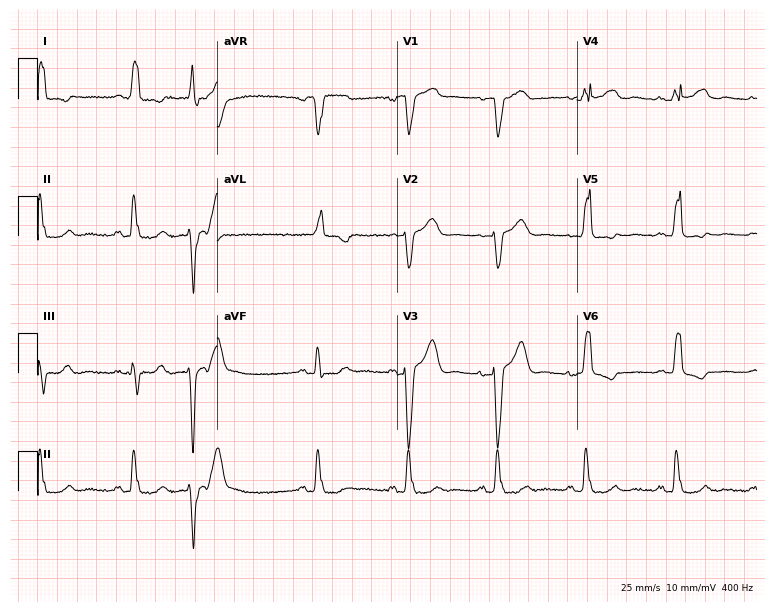
Resting 12-lead electrocardiogram. Patient: a 72-year-old female. None of these six findings is recorded: first-degree AV block, right bundle branch block, left bundle branch block, sinus bradycardia, atrial fibrillation, sinus tachycardia.